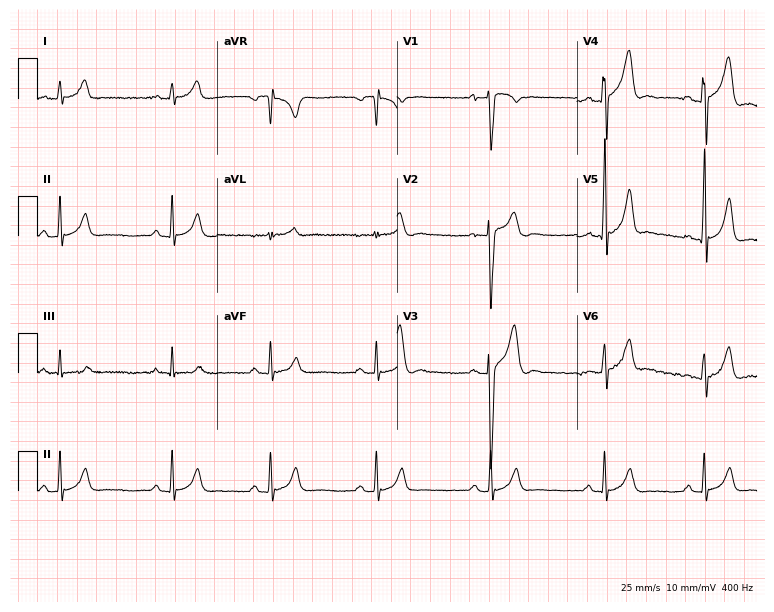
12-lead ECG from a 19-year-old man. Recorded interpretation: within normal limits.